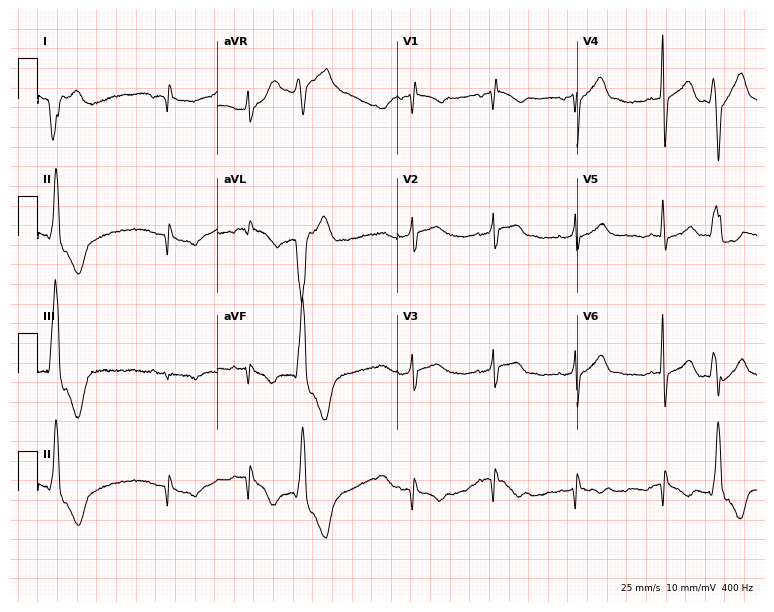
Electrocardiogram, a 66-year-old male patient. Of the six screened findings (first-degree AV block, right bundle branch block, left bundle branch block, sinus bradycardia, atrial fibrillation, sinus tachycardia), none is recorded. Findings outside these six are not listed.